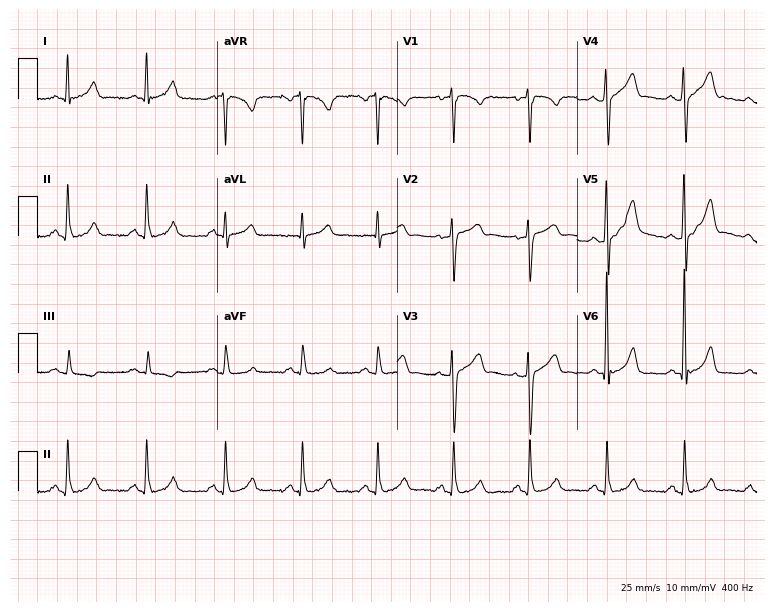
Electrocardiogram (7.3-second recording at 400 Hz), a male, 45 years old. Of the six screened findings (first-degree AV block, right bundle branch block, left bundle branch block, sinus bradycardia, atrial fibrillation, sinus tachycardia), none is recorded.